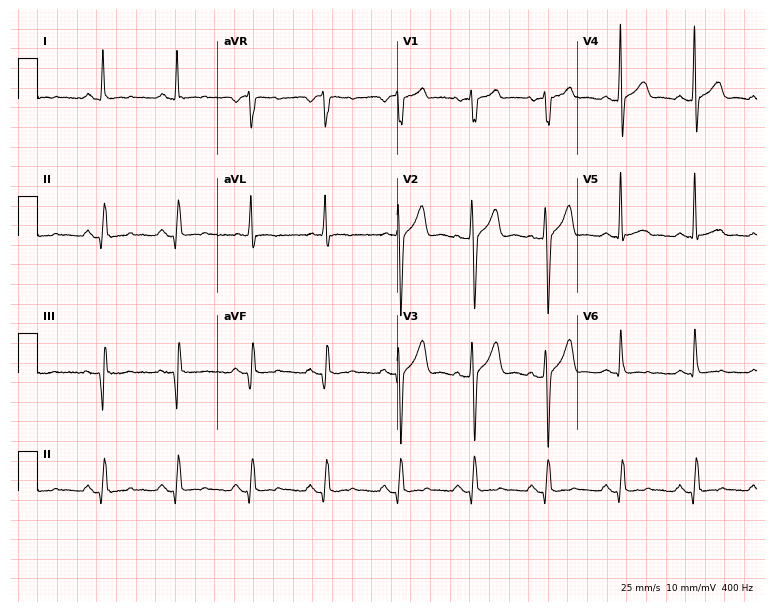
Resting 12-lead electrocardiogram. Patient: a male, 53 years old. None of these six findings is recorded: first-degree AV block, right bundle branch block (RBBB), left bundle branch block (LBBB), sinus bradycardia, atrial fibrillation (AF), sinus tachycardia.